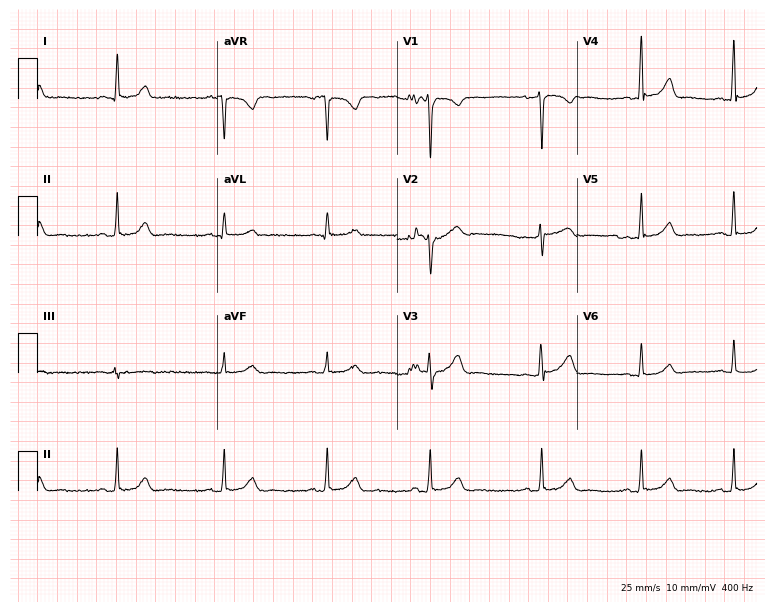
Electrocardiogram (7.3-second recording at 400 Hz), a 40-year-old woman. Of the six screened findings (first-degree AV block, right bundle branch block (RBBB), left bundle branch block (LBBB), sinus bradycardia, atrial fibrillation (AF), sinus tachycardia), none is recorded. Only these six findings were labelled.